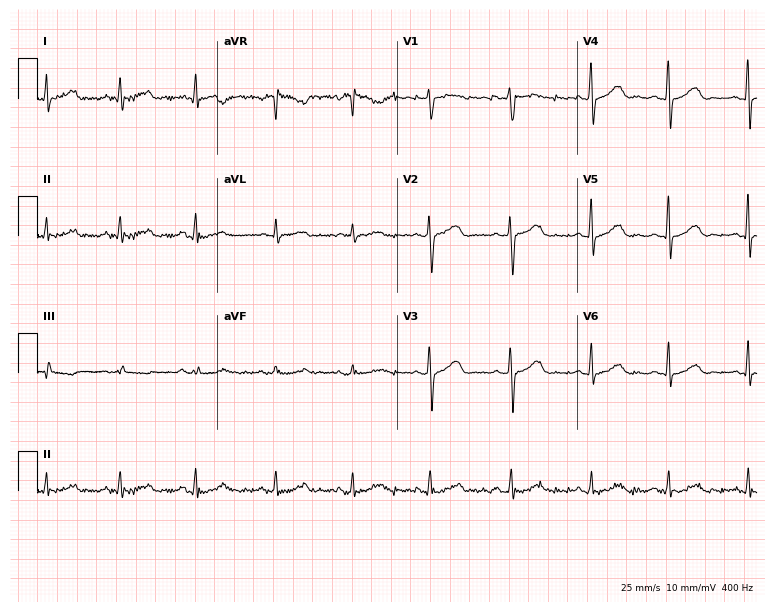
Resting 12-lead electrocardiogram. Patient: a 47-year-old female. Read as a normal ECG.